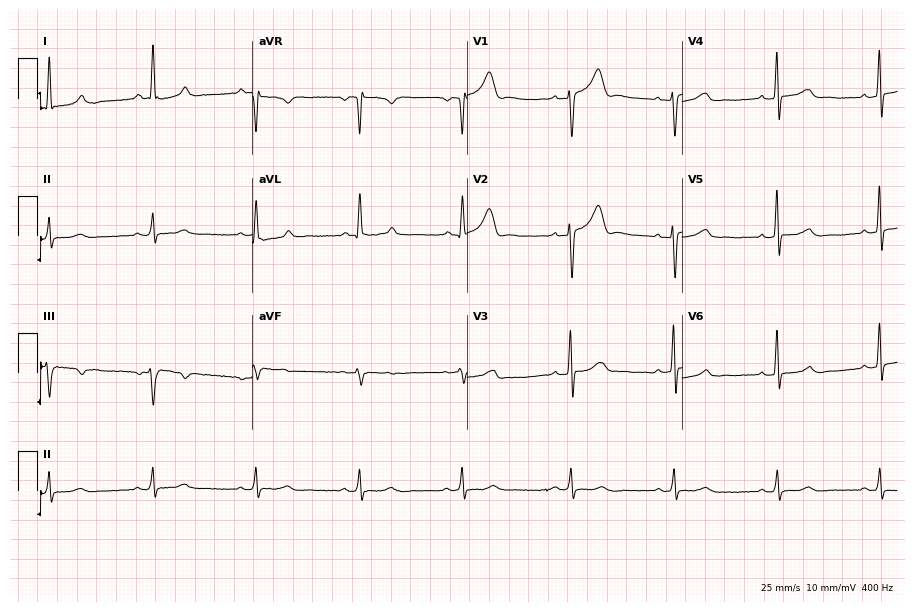
Electrocardiogram (8.8-second recording at 400 Hz), a 46-year-old male. Overall reading on record: normal ECG.